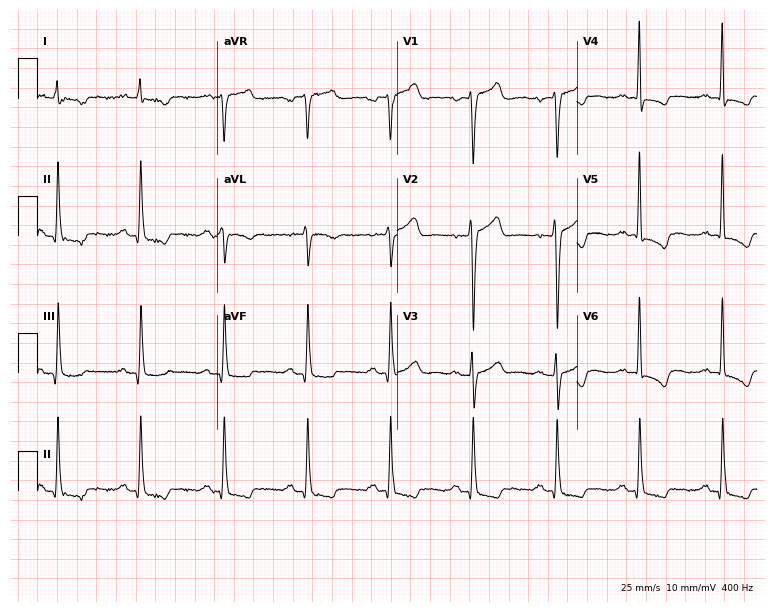
Standard 12-lead ECG recorded from a male, 66 years old. None of these six findings is recorded: first-degree AV block, right bundle branch block, left bundle branch block, sinus bradycardia, atrial fibrillation, sinus tachycardia. Findings outside these six are not listed.